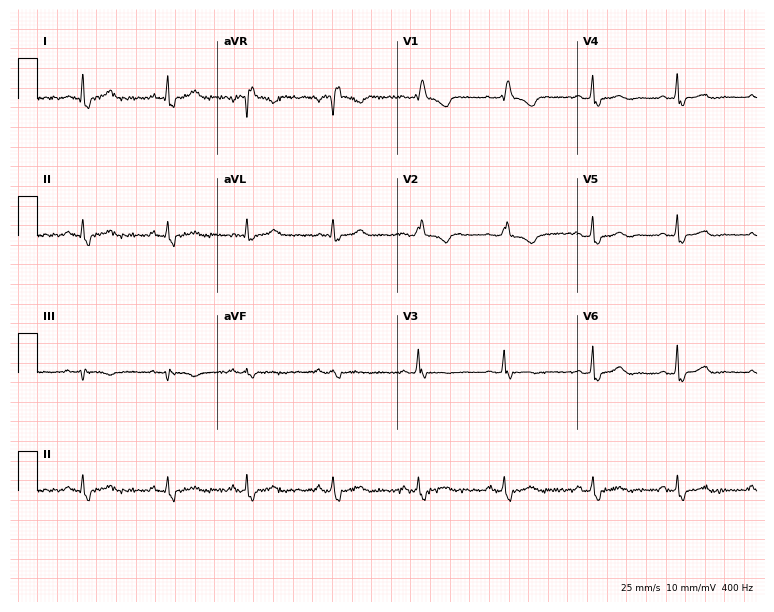
Electrocardiogram (7.3-second recording at 400 Hz), a woman, 51 years old. Interpretation includes right bundle branch block.